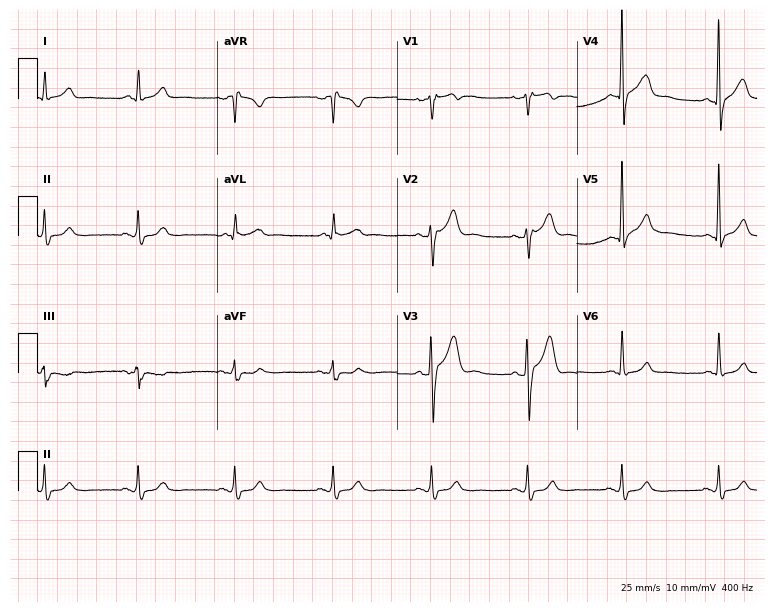
Standard 12-lead ECG recorded from a 31-year-old male. Read as a normal ECG.